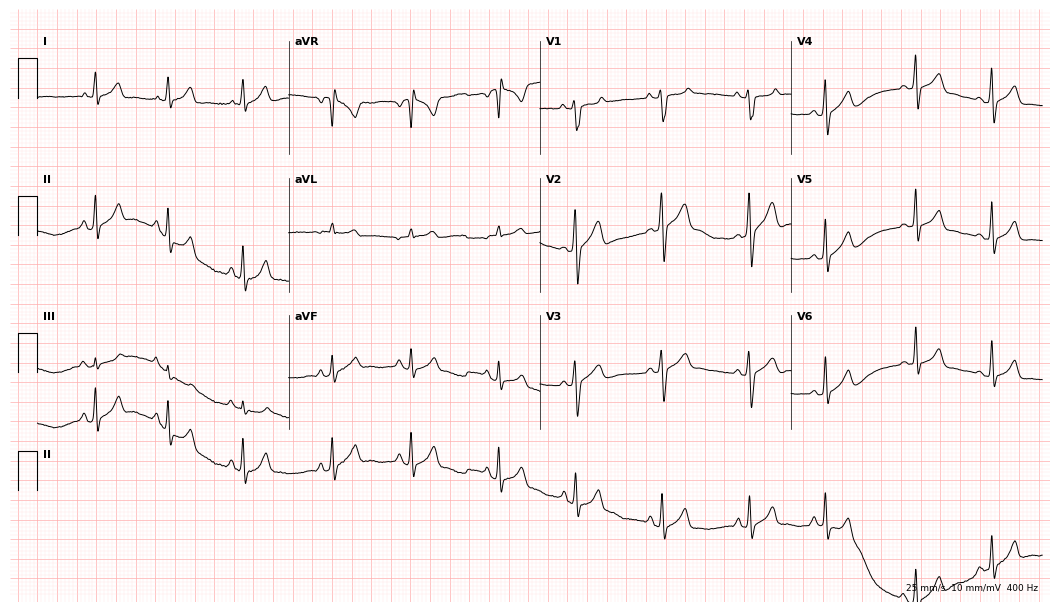
12-lead ECG from a 19-year-old man. Recorded interpretation: within normal limits.